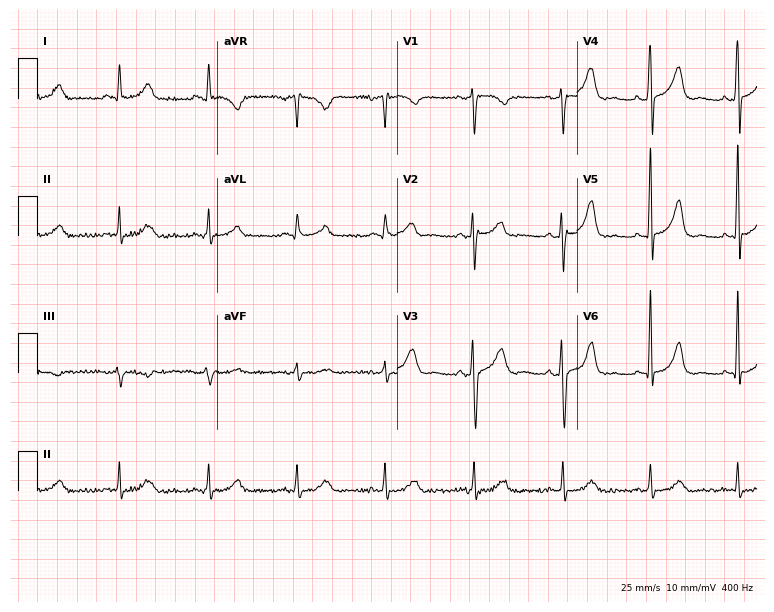
12-lead ECG from a male, 61 years old. Labelled as a normal ECG.